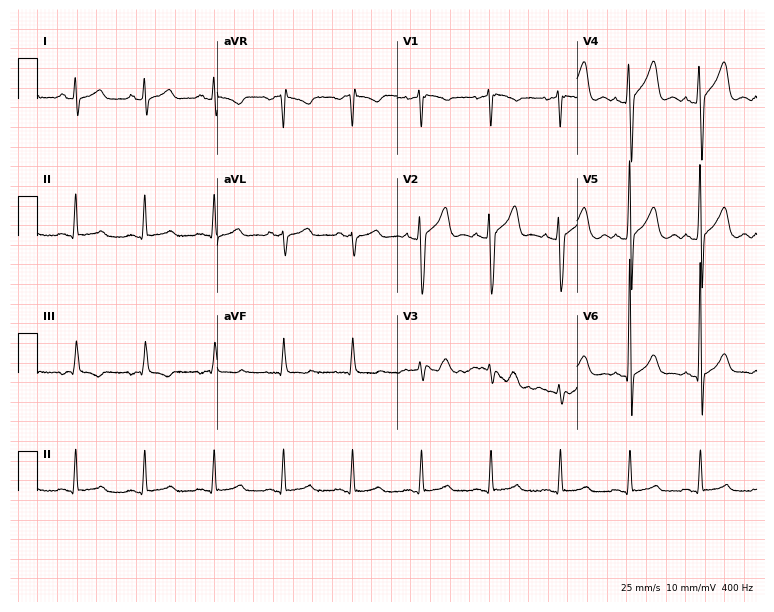
12-lead ECG (7.3-second recording at 400 Hz) from a 47-year-old male patient. Labelled as a normal ECG.